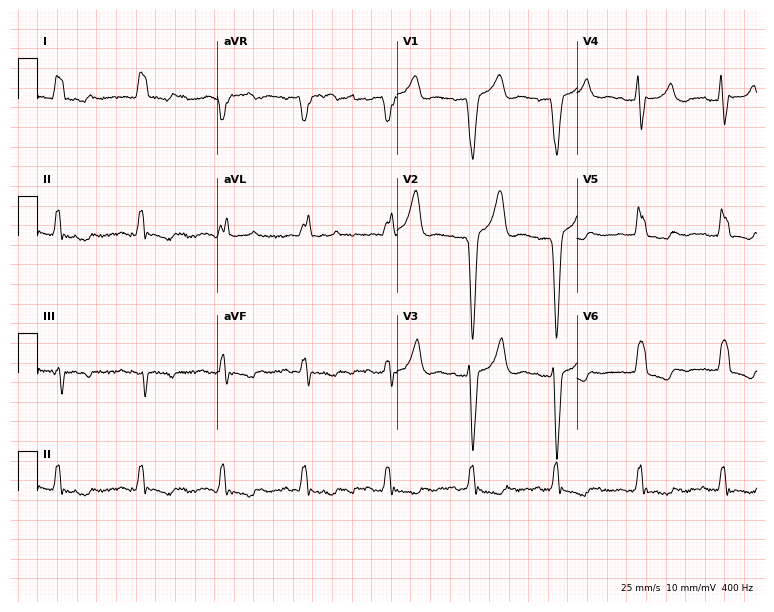
Electrocardiogram, a female, 82 years old. Interpretation includes left bundle branch block.